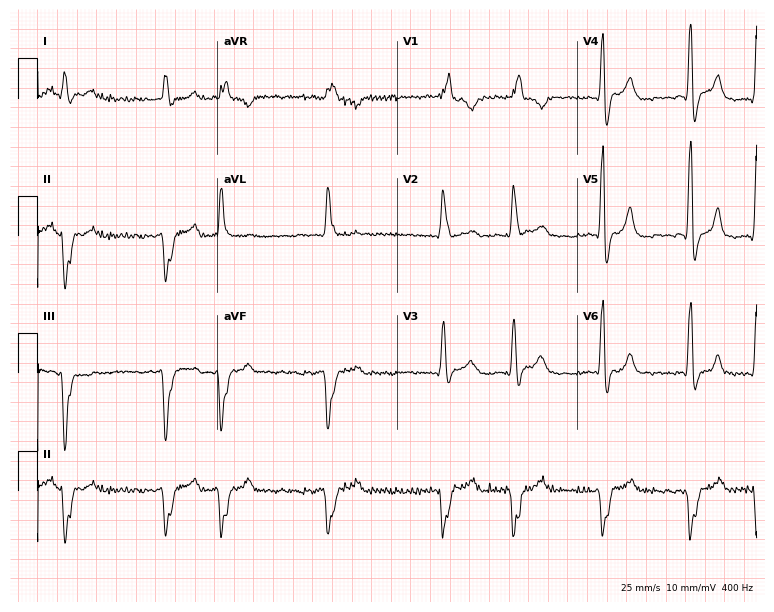
Electrocardiogram, a male, 46 years old. Interpretation includes right bundle branch block, atrial fibrillation.